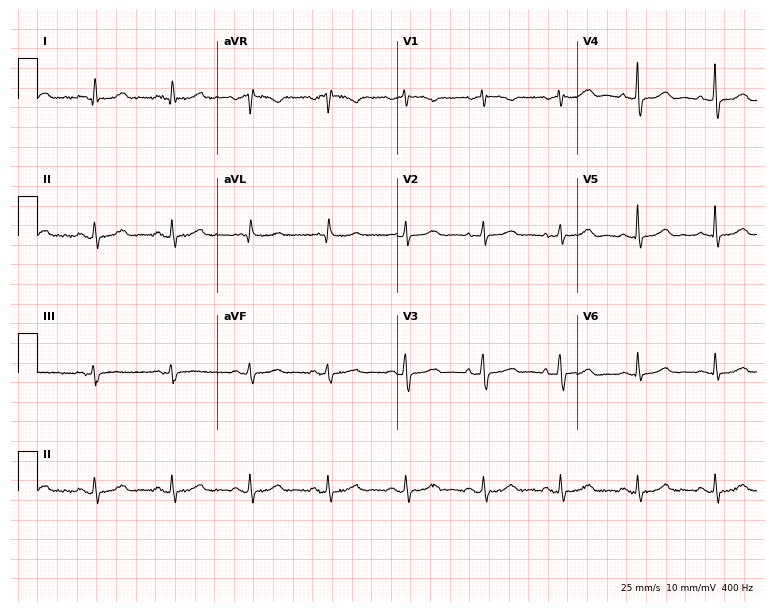
12-lead ECG (7.3-second recording at 400 Hz) from a female, 69 years old. Labelled as a normal ECG.